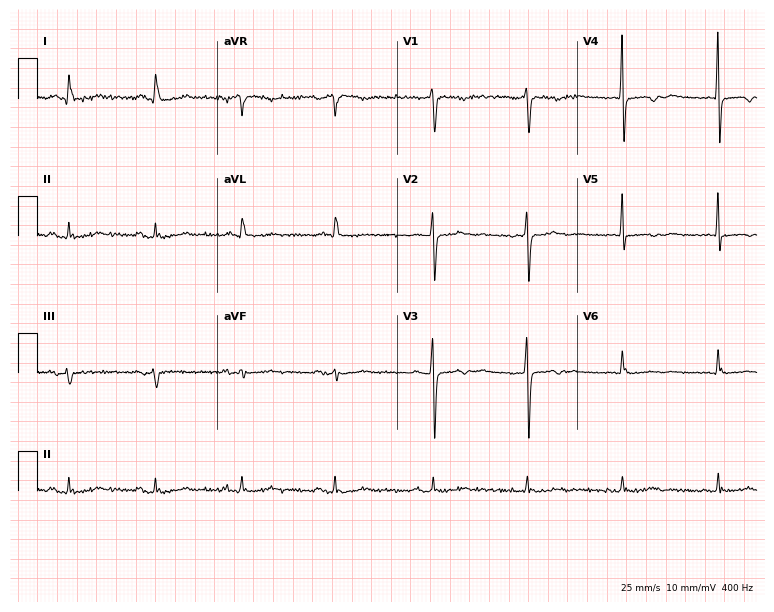
Electrocardiogram, a female, 63 years old. Of the six screened findings (first-degree AV block, right bundle branch block, left bundle branch block, sinus bradycardia, atrial fibrillation, sinus tachycardia), none is recorded. Findings outside these six are not listed.